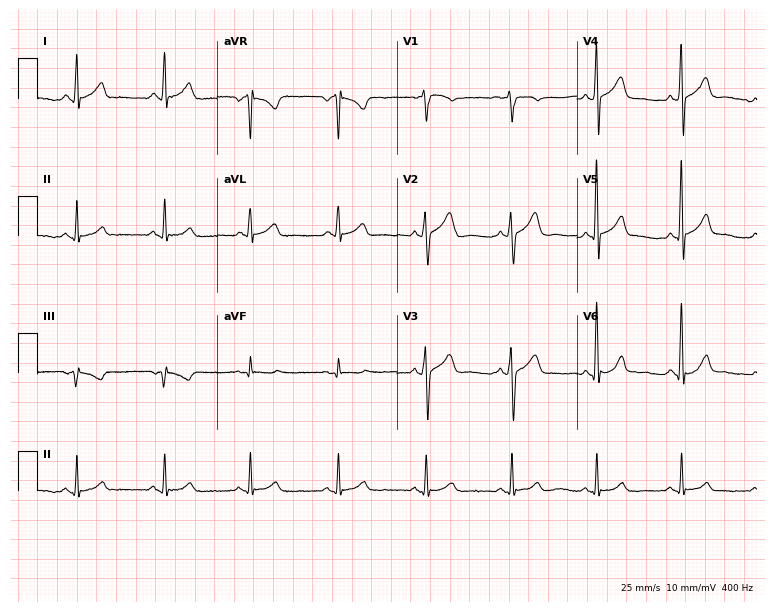
Standard 12-lead ECG recorded from a 41-year-old male patient (7.3-second recording at 400 Hz). Read as a normal ECG.